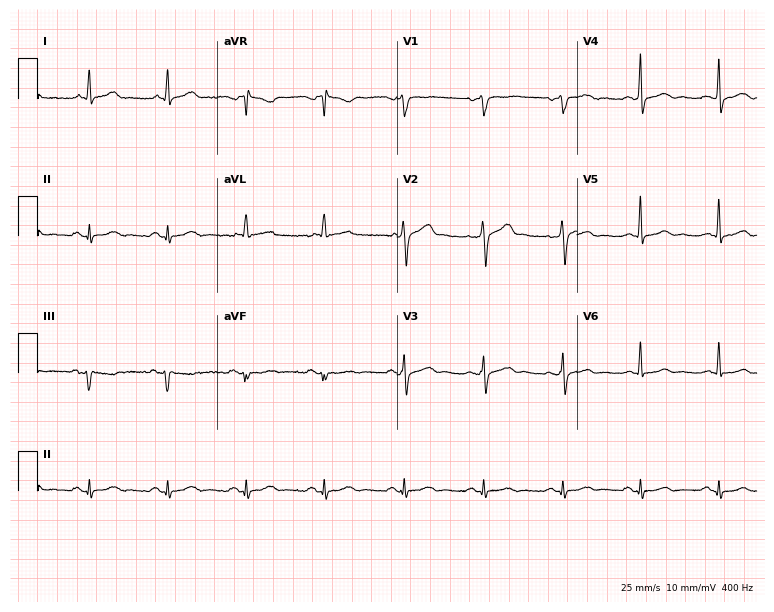
ECG — a 58-year-old male. Screened for six findings — first-degree AV block, right bundle branch block, left bundle branch block, sinus bradycardia, atrial fibrillation, sinus tachycardia — none is recorded. Only these six findings were labelled.